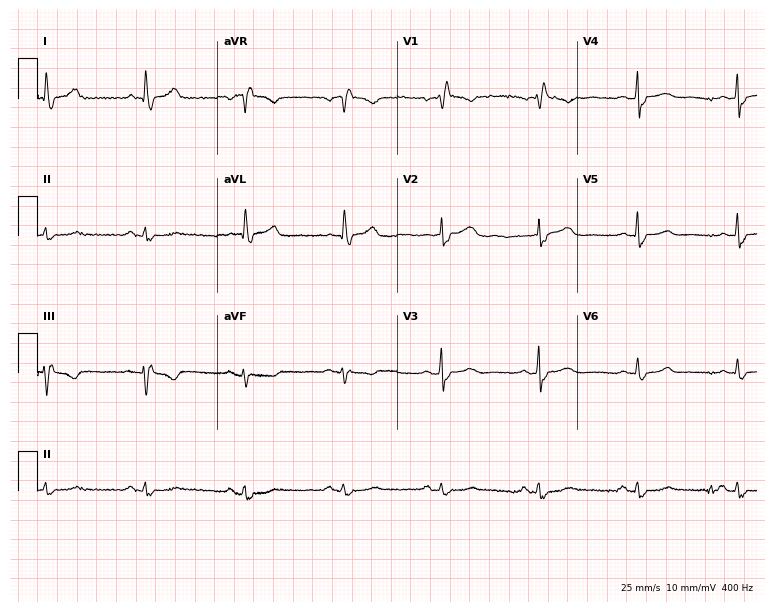
ECG — a woman, 74 years old. Findings include right bundle branch block.